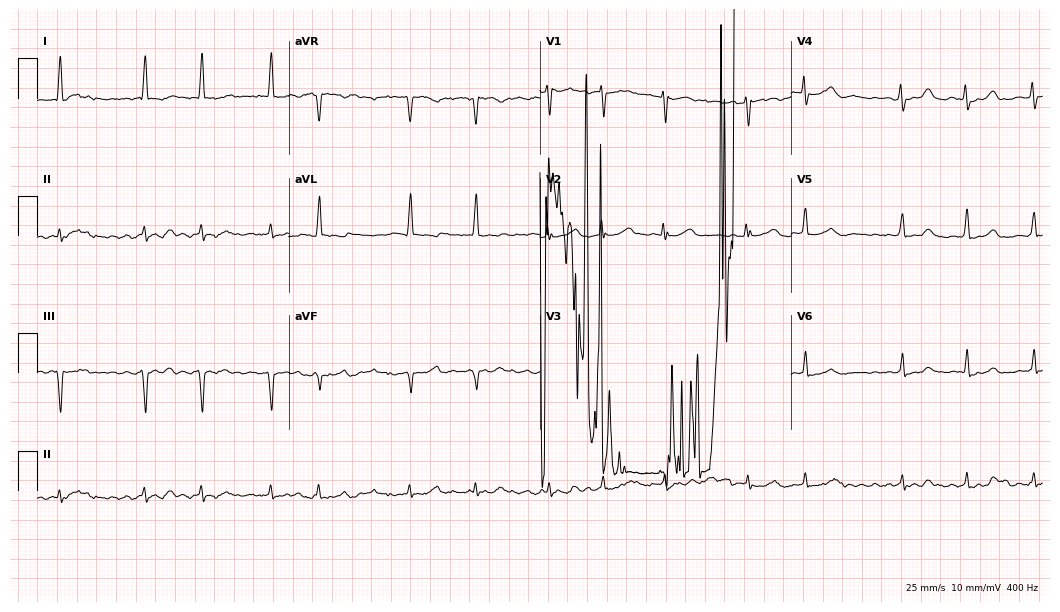
ECG (10.2-second recording at 400 Hz) — a female, 83 years old. Findings include atrial fibrillation.